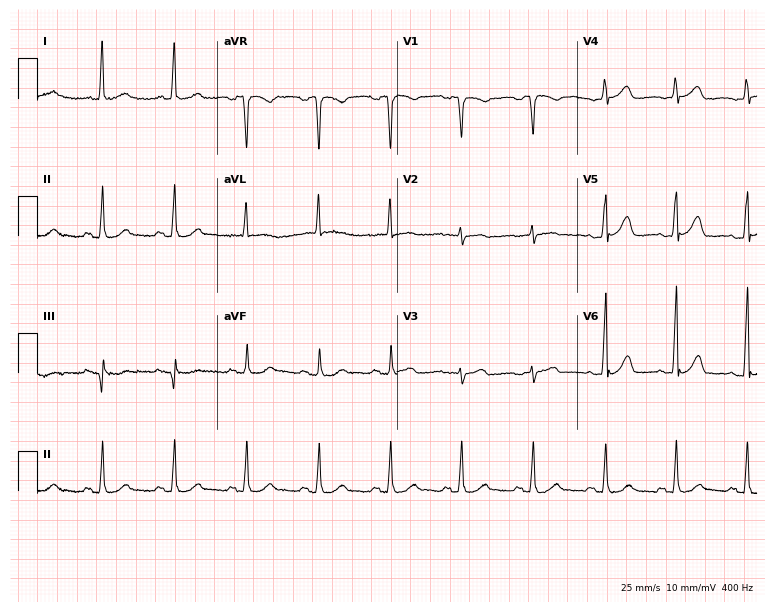
ECG (7.3-second recording at 400 Hz) — a 74-year-old female patient. Labelled as a normal ECG.